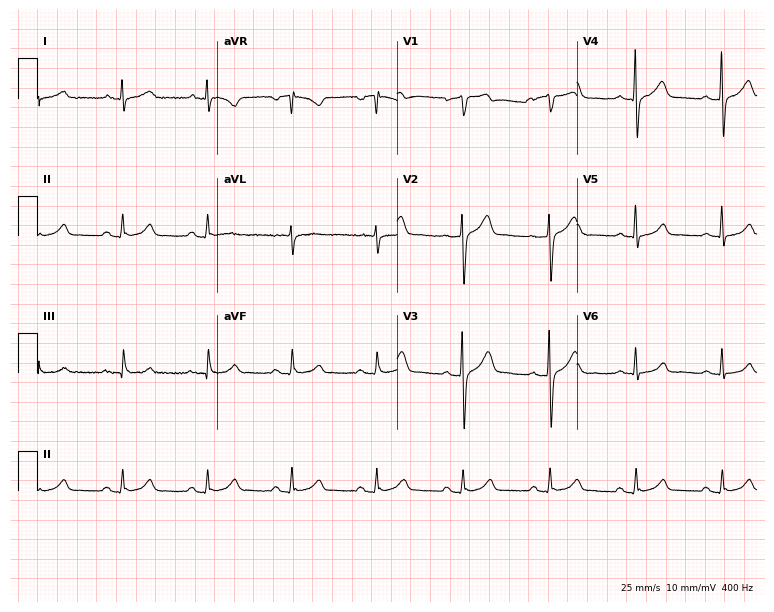
12-lead ECG from a male, 58 years old. Recorded interpretation: within normal limits.